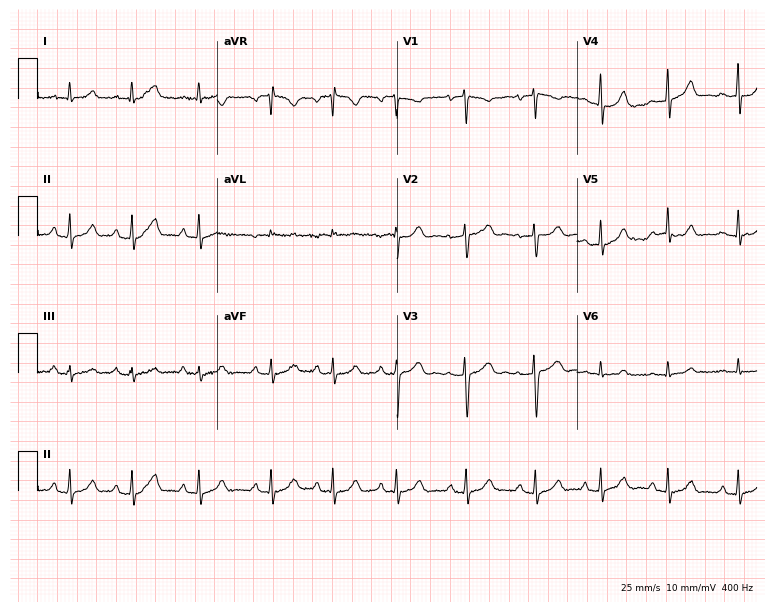
12-lead ECG from a 22-year-old woman. Screened for six findings — first-degree AV block, right bundle branch block, left bundle branch block, sinus bradycardia, atrial fibrillation, sinus tachycardia — none is recorded.